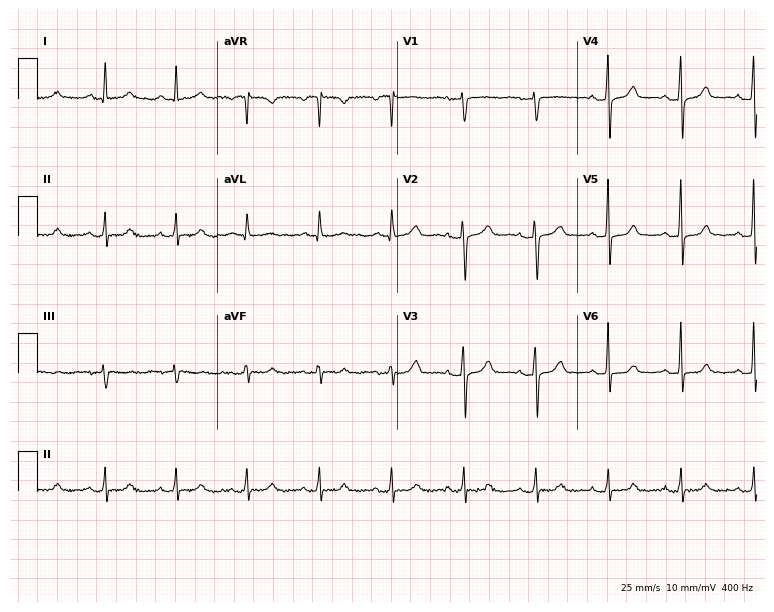
ECG — a 56-year-old female. Labelled as a normal ECG.